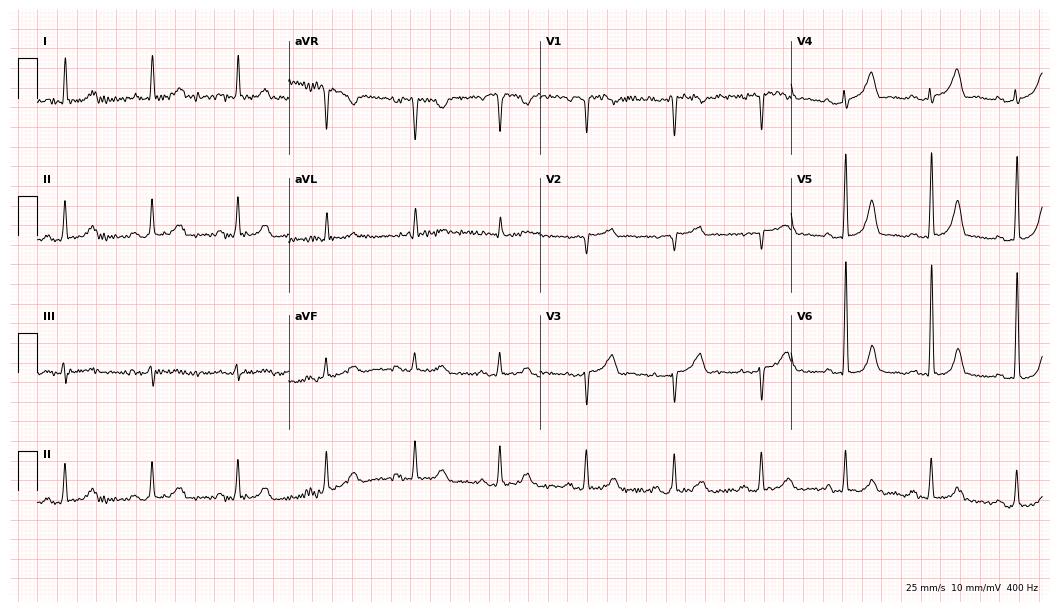
12-lead ECG (10.2-second recording at 400 Hz) from a woman, 63 years old. Labelled as a normal ECG.